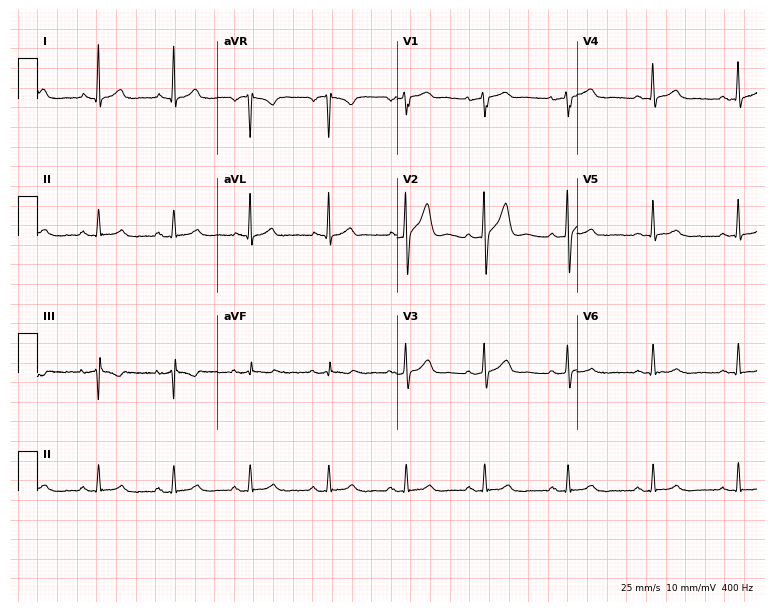
Resting 12-lead electrocardiogram (7.3-second recording at 400 Hz). Patient: a 53-year-old man. Read as a normal ECG.